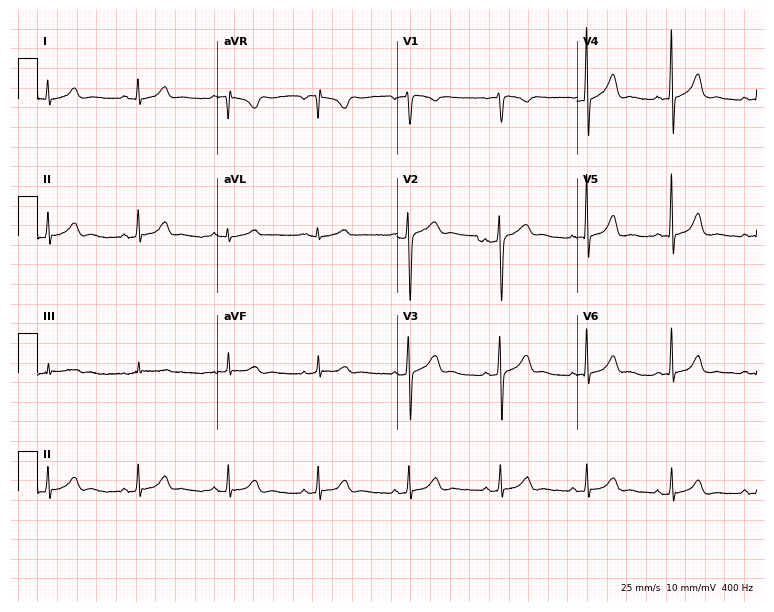
Standard 12-lead ECG recorded from a female, 33 years old. None of these six findings is recorded: first-degree AV block, right bundle branch block, left bundle branch block, sinus bradycardia, atrial fibrillation, sinus tachycardia.